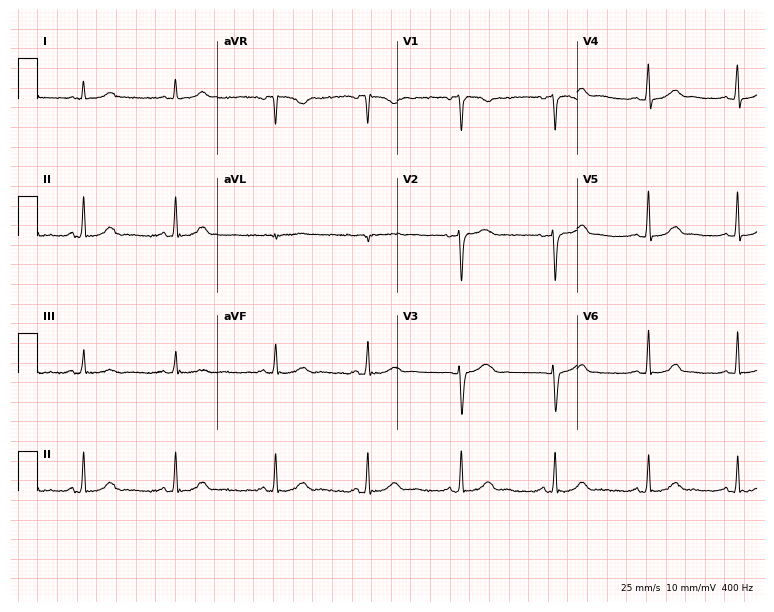
Resting 12-lead electrocardiogram. Patient: a female, 41 years old. Read as a normal ECG.